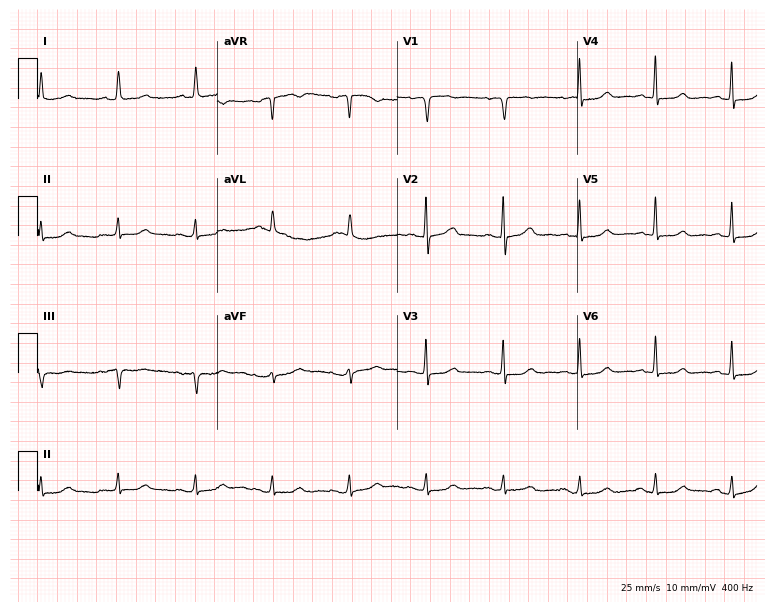
ECG (7.3-second recording at 400 Hz) — a 78-year-old woman. Screened for six findings — first-degree AV block, right bundle branch block, left bundle branch block, sinus bradycardia, atrial fibrillation, sinus tachycardia — none is recorded.